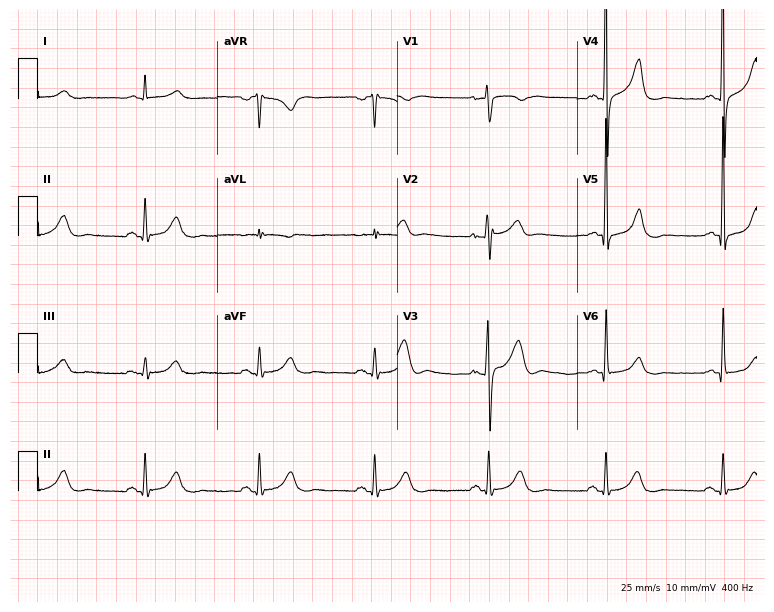
Resting 12-lead electrocardiogram. Patient: a 65-year-old man. Read as a normal ECG.